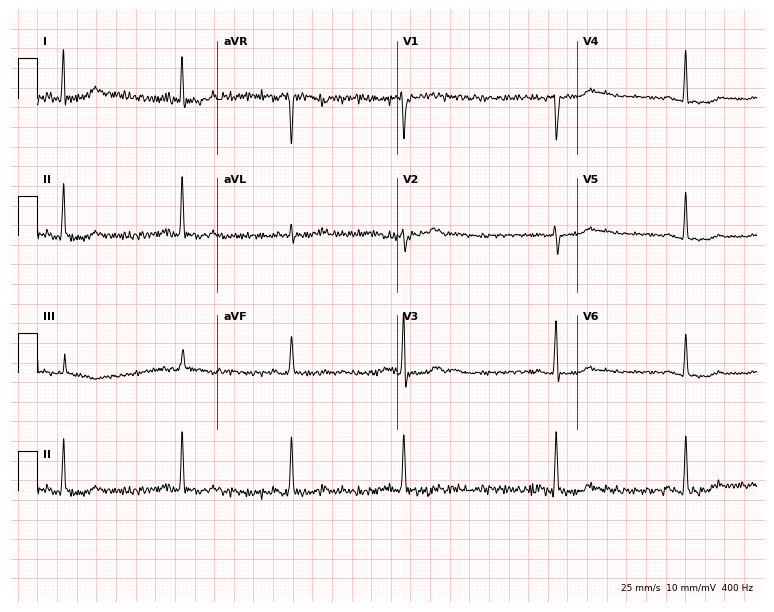
Standard 12-lead ECG recorded from a 41-year-old female patient (7.3-second recording at 400 Hz). None of these six findings is recorded: first-degree AV block, right bundle branch block, left bundle branch block, sinus bradycardia, atrial fibrillation, sinus tachycardia. Only these six findings were labelled.